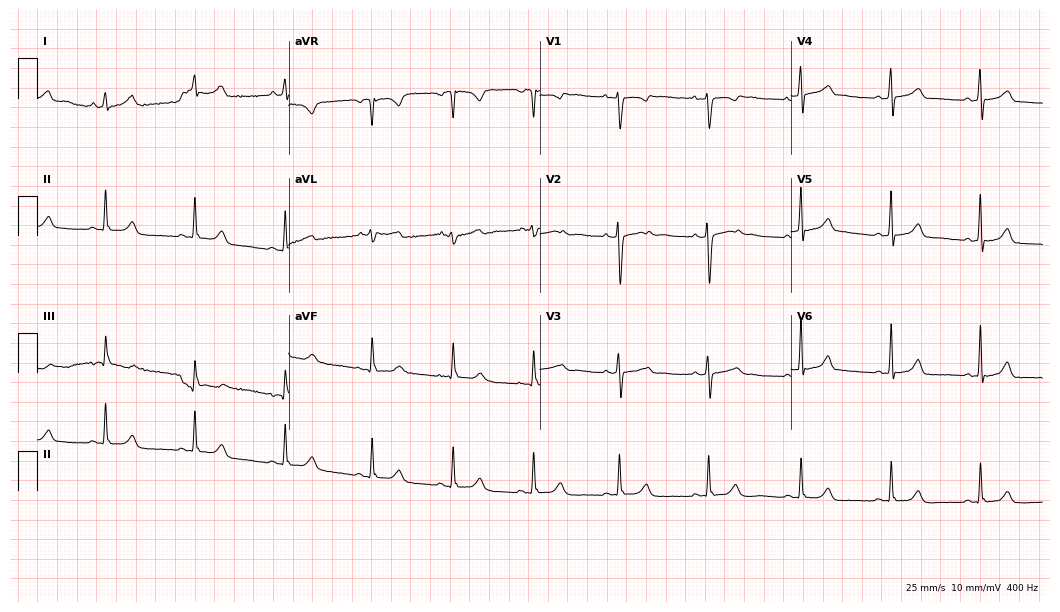
ECG (10.2-second recording at 400 Hz) — a 17-year-old woman. Labelled as a normal ECG.